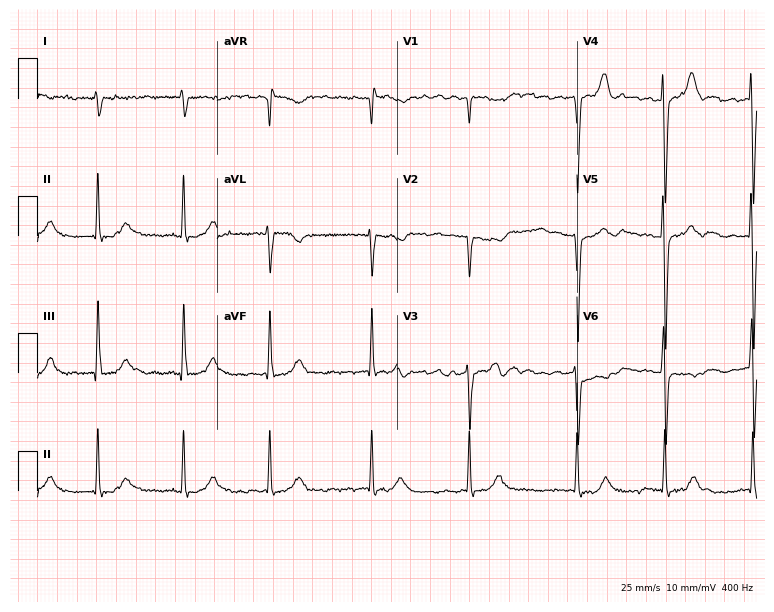
Resting 12-lead electrocardiogram. Patient: a male, 78 years old. The tracing shows atrial fibrillation (AF).